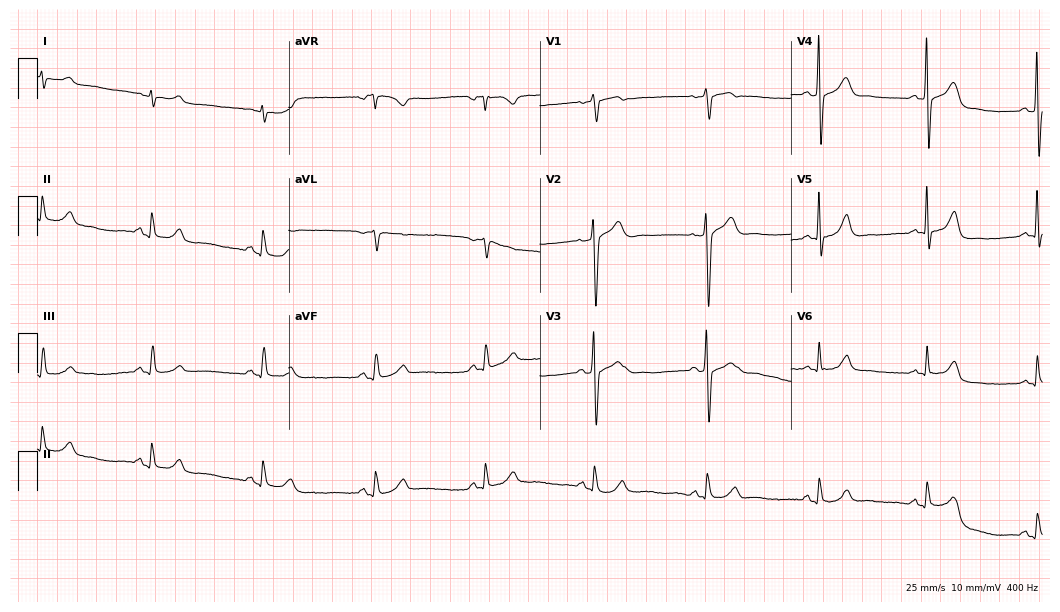
12-lead ECG from a male, 59 years old. Recorded interpretation: within normal limits.